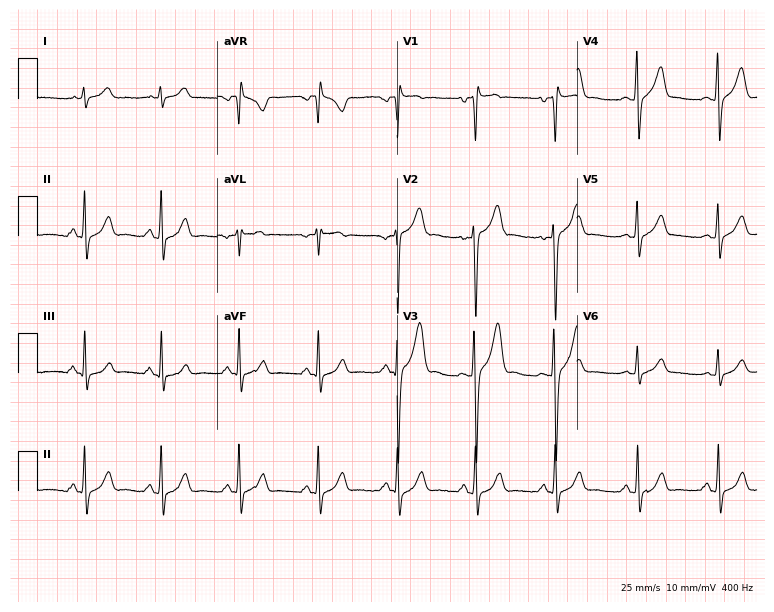
12-lead ECG (7.3-second recording at 400 Hz) from a male patient, 37 years old. Screened for six findings — first-degree AV block, right bundle branch block, left bundle branch block, sinus bradycardia, atrial fibrillation, sinus tachycardia — none is recorded.